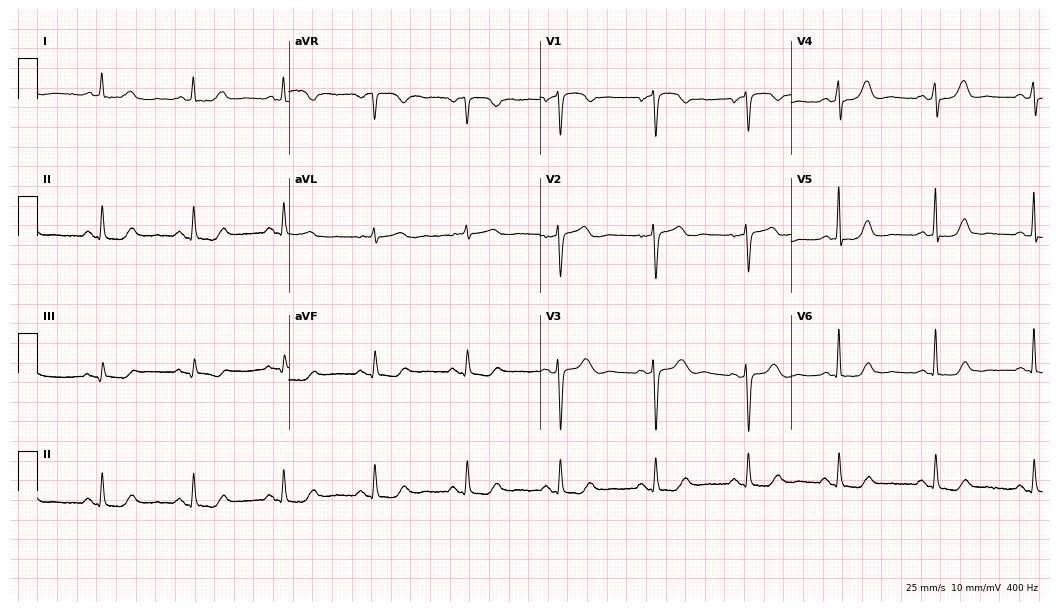
Resting 12-lead electrocardiogram (10.2-second recording at 400 Hz). Patient: a female, 63 years old. None of these six findings is recorded: first-degree AV block, right bundle branch block, left bundle branch block, sinus bradycardia, atrial fibrillation, sinus tachycardia.